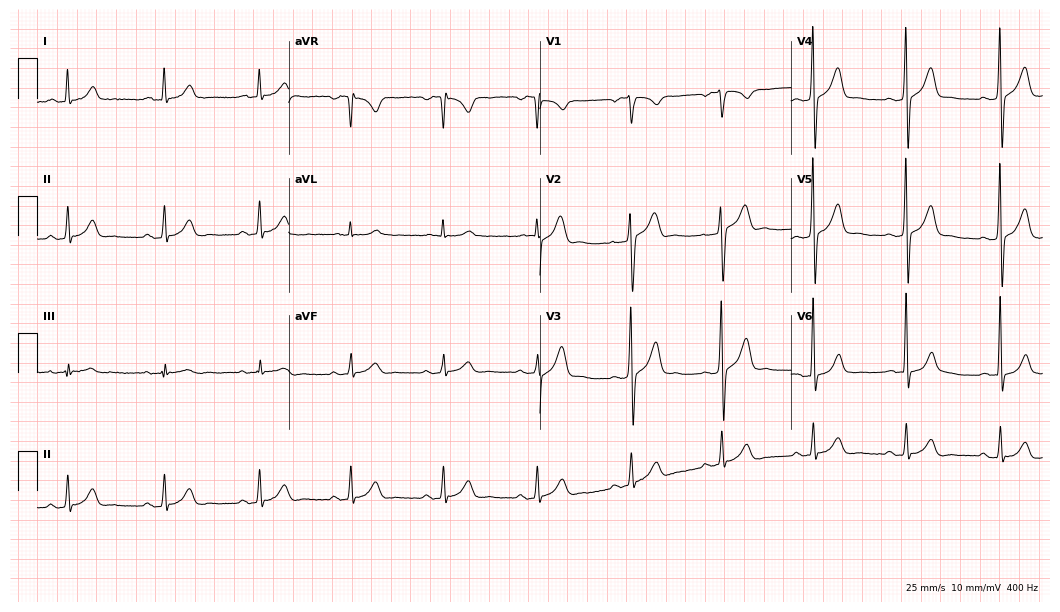
12-lead ECG (10.2-second recording at 400 Hz) from a 51-year-old male. Screened for six findings — first-degree AV block, right bundle branch block (RBBB), left bundle branch block (LBBB), sinus bradycardia, atrial fibrillation (AF), sinus tachycardia — none is recorded. Findings outside these six are not listed.